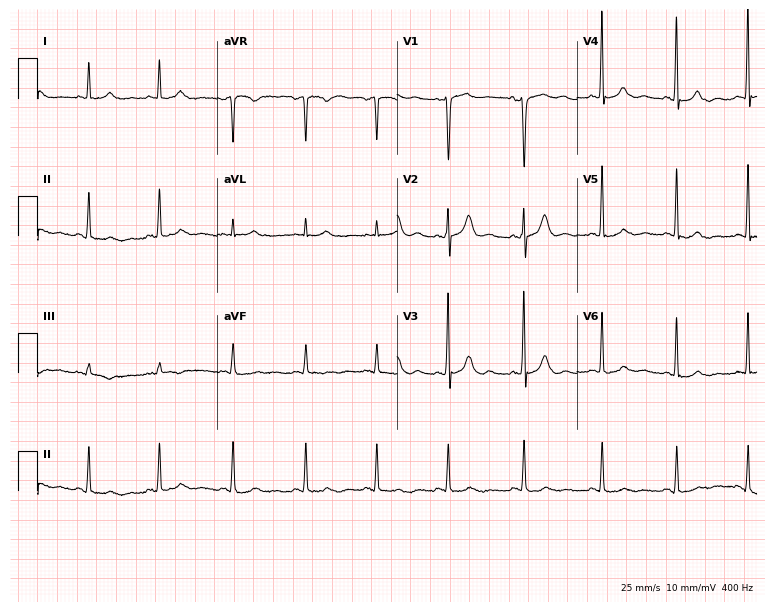
Resting 12-lead electrocardiogram. Patient: a 47-year-old woman. None of these six findings is recorded: first-degree AV block, right bundle branch block, left bundle branch block, sinus bradycardia, atrial fibrillation, sinus tachycardia. Findings outside these six are not listed.